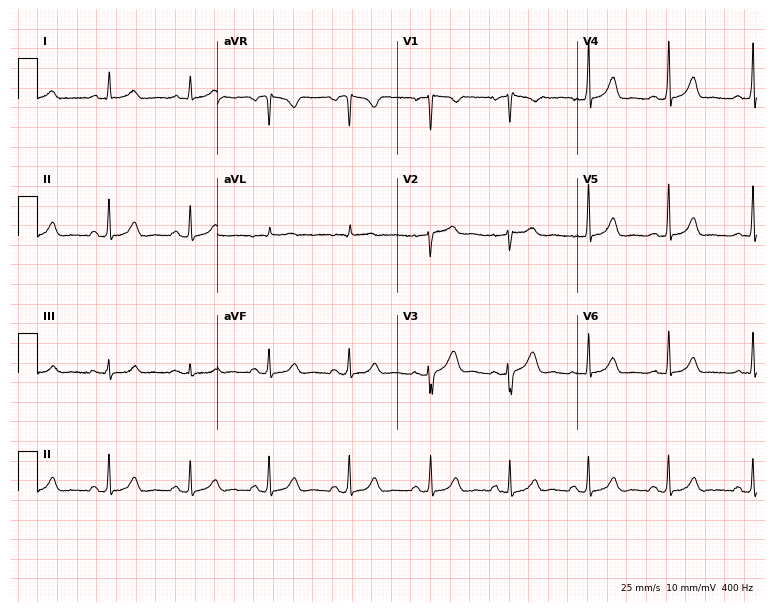
12-lead ECG from a 29-year-old woman (7.3-second recording at 400 Hz). No first-degree AV block, right bundle branch block (RBBB), left bundle branch block (LBBB), sinus bradycardia, atrial fibrillation (AF) or sinus tachycardia recorded for this tracing.